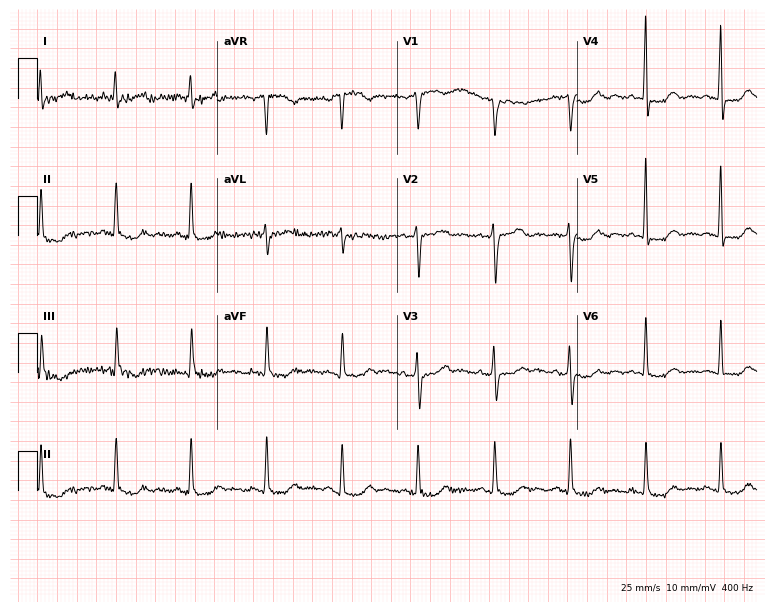
12-lead ECG from a 64-year-old female. Recorded interpretation: within normal limits.